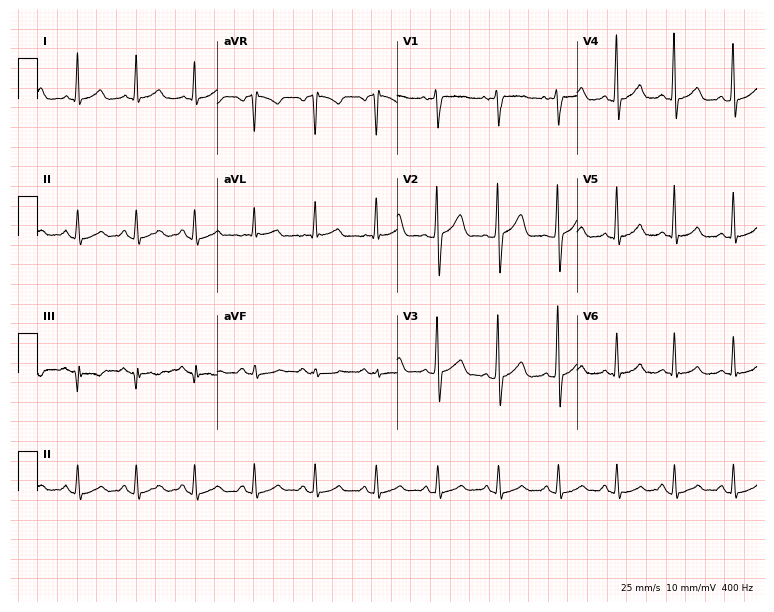
12-lead ECG (7.3-second recording at 400 Hz) from a male, 46 years old. Labelled as a normal ECG.